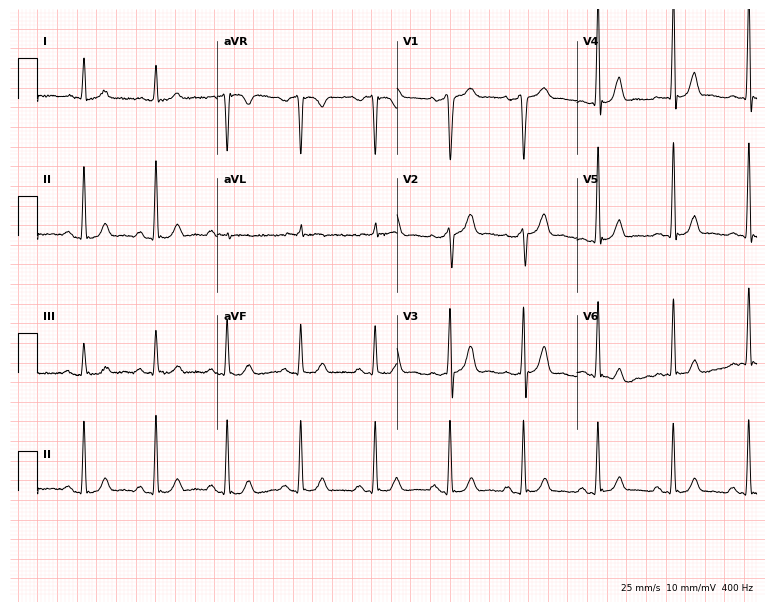
12-lead ECG from a 58-year-old male (7.3-second recording at 400 Hz). Recorded interpretation: within normal limits.